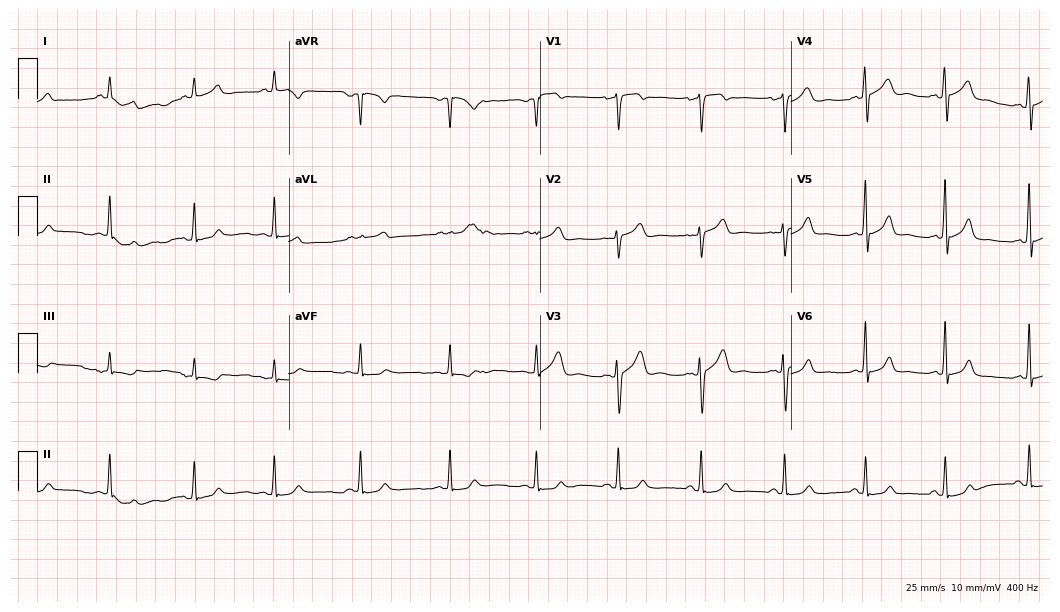
Resting 12-lead electrocardiogram (10.2-second recording at 400 Hz). Patient: a 41-year-old female. None of these six findings is recorded: first-degree AV block, right bundle branch block, left bundle branch block, sinus bradycardia, atrial fibrillation, sinus tachycardia. Findings outside these six are not listed.